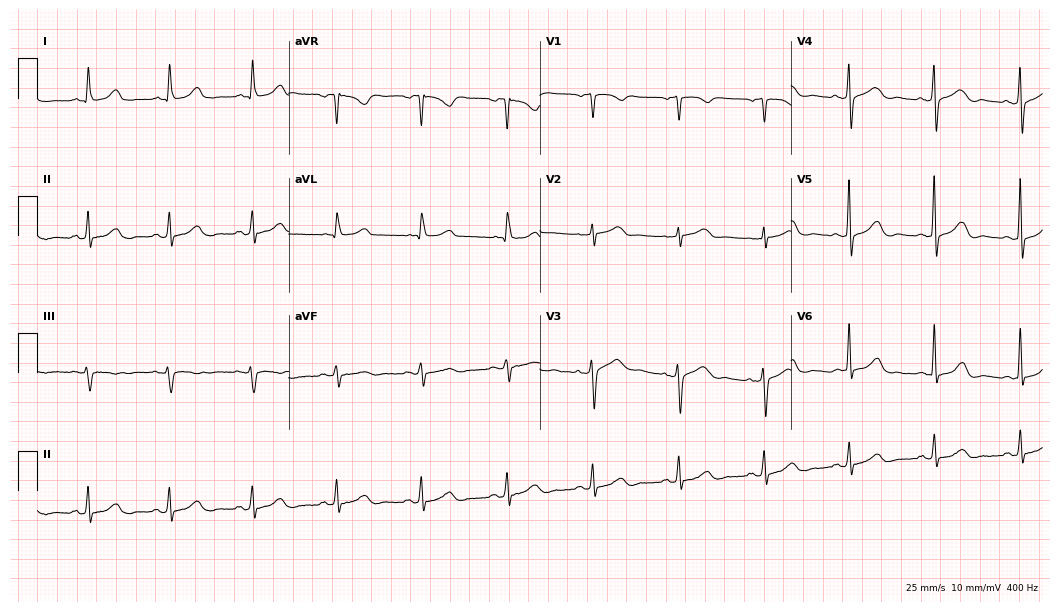
12-lead ECG from a woman, 62 years old. Recorded interpretation: within normal limits.